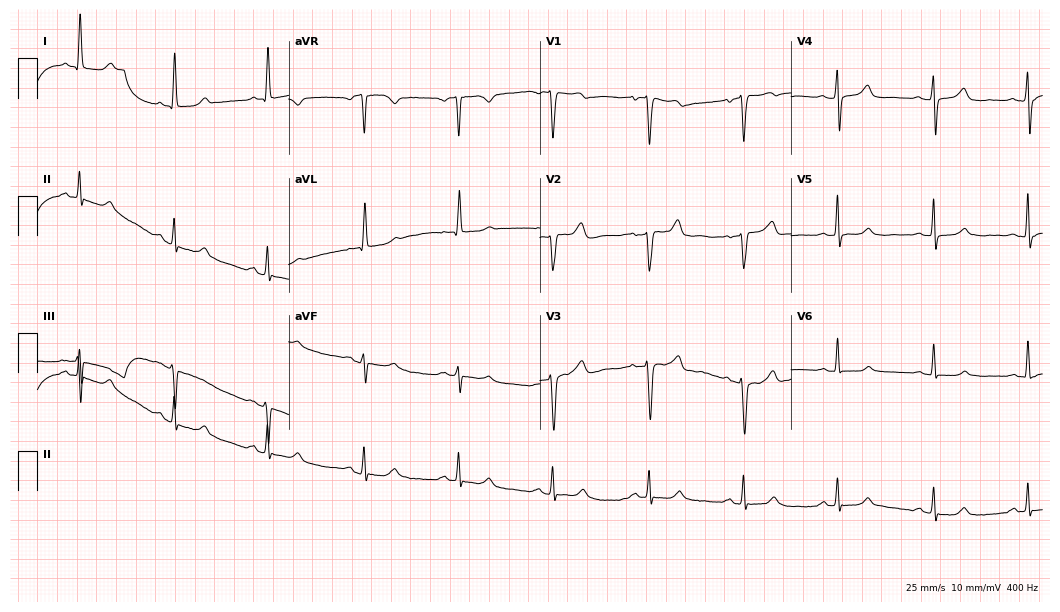
Resting 12-lead electrocardiogram (10.2-second recording at 400 Hz). Patient: a 62-year-old female. None of these six findings is recorded: first-degree AV block, right bundle branch block (RBBB), left bundle branch block (LBBB), sinus bradycardia, atrial fibrillation (AF), sinus tachycardia.